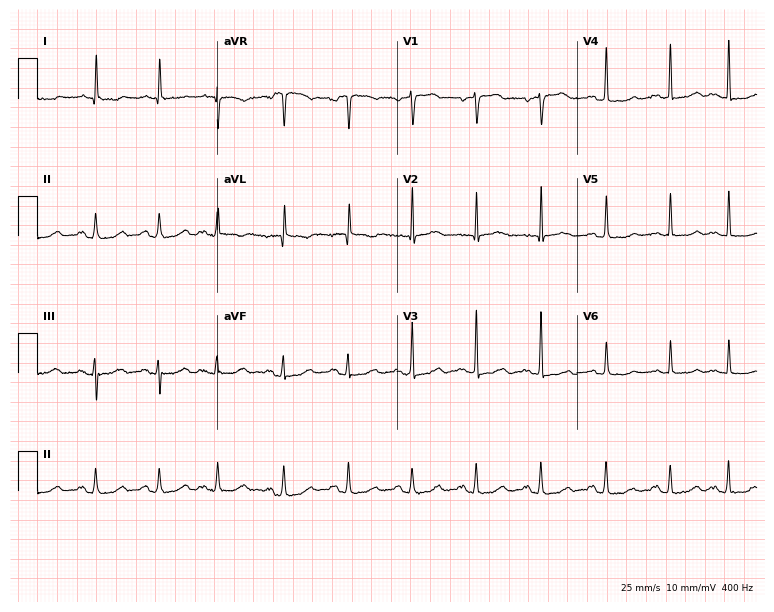
ECG — an 85-year-old woman. Screened for six findings — first-degree AV block, right bundle branch block, left bundle branch block, sinus bradycardia, atrial fibrillation, sinus tachycardia — none is recorded.